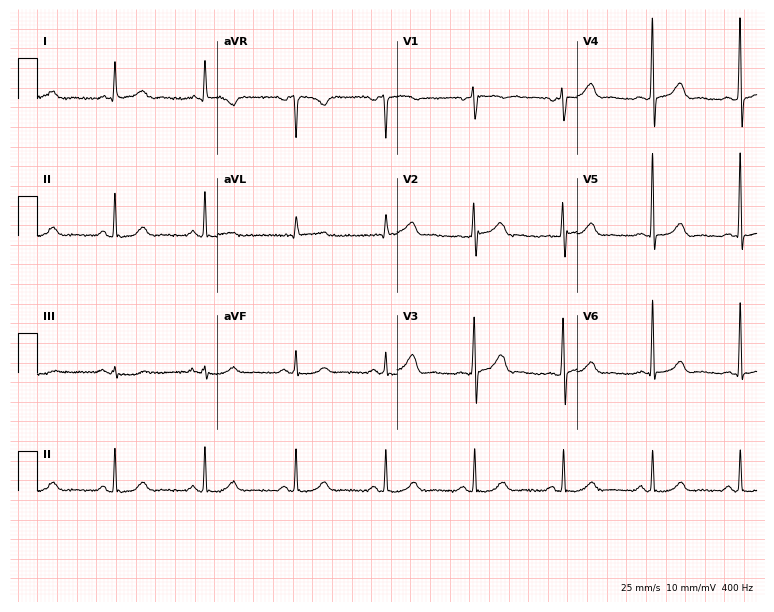
12-lead ECG from a male patient, 65 years old. Screened for six findings — first-degree AV block, right bundle branch block, left bundle branch block, sinus bradycardia, atrial fibrillation, sinus tachycardia — none is recorded. Only these six findings were labelled.